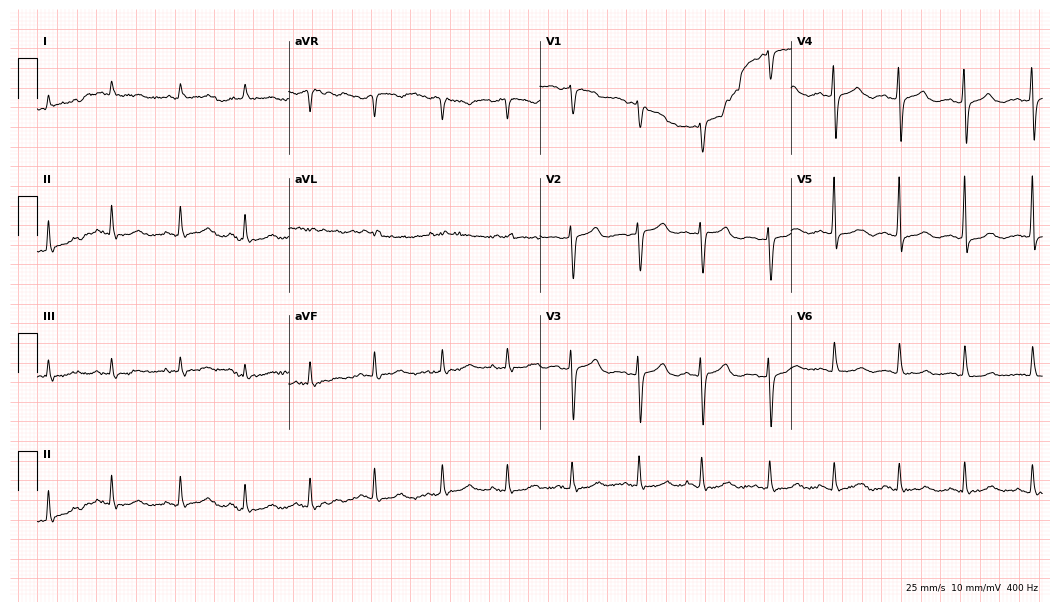
ECG (10.2-second recording at 400 Hz) — a female patient, 87 years old. Screened for six findings — first-degree AV block, right bundle branch block, left bundle branch block, sinus bradycardia, atrial fibrillation, sinus tachycardia — none is recorded.